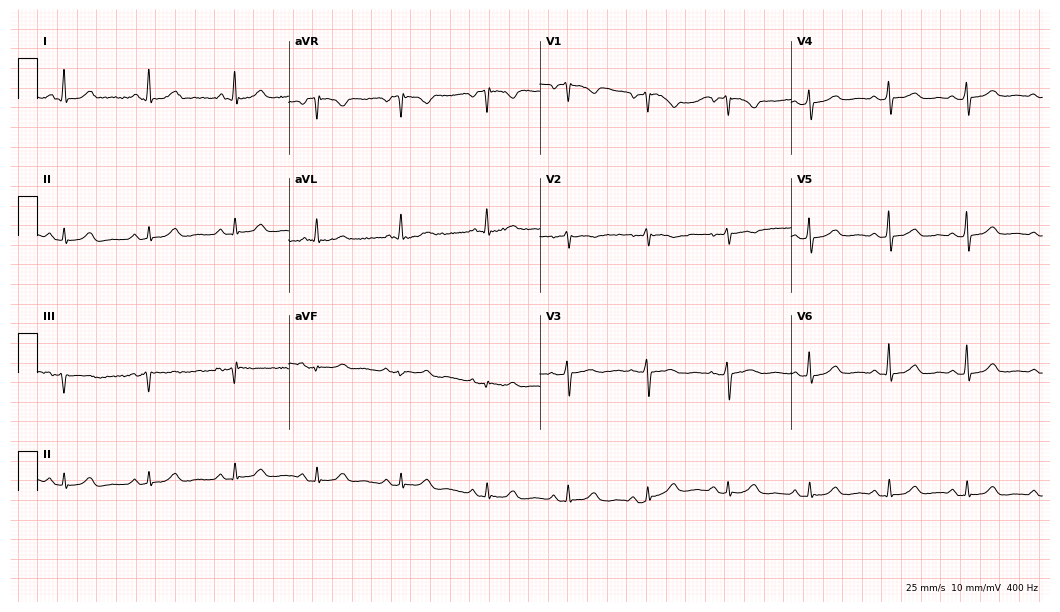
ECG (10.2-second recording at 400 Hz) — a woman, 65 years old. Labelled as a normal ECG.